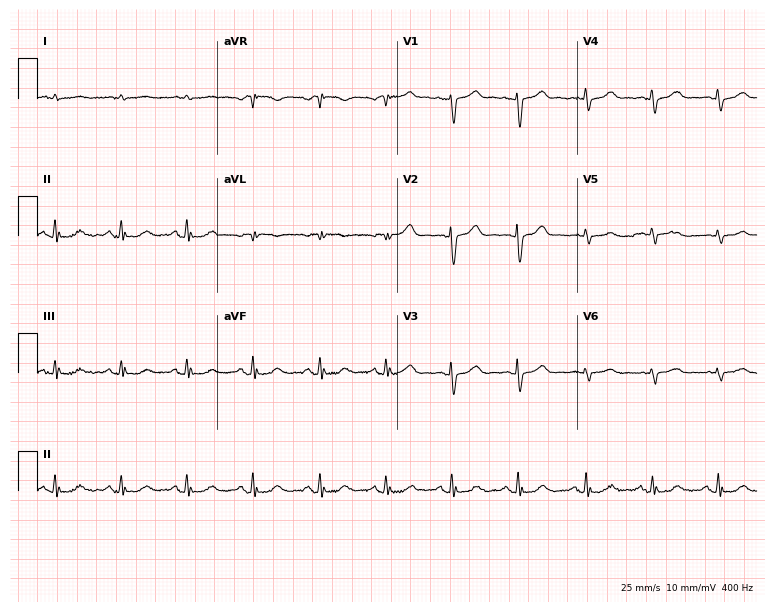
Electrocardiogram (7.3-second recording at 400 Hz), an 81-year-old male. Of the six screened findings (first-degree AV block, right bundle branch block, left bundle branch block, sinus bradycardia, atrial fibrillation, sinus tachycardia), none is recorded. Findings outside these six are not listed.